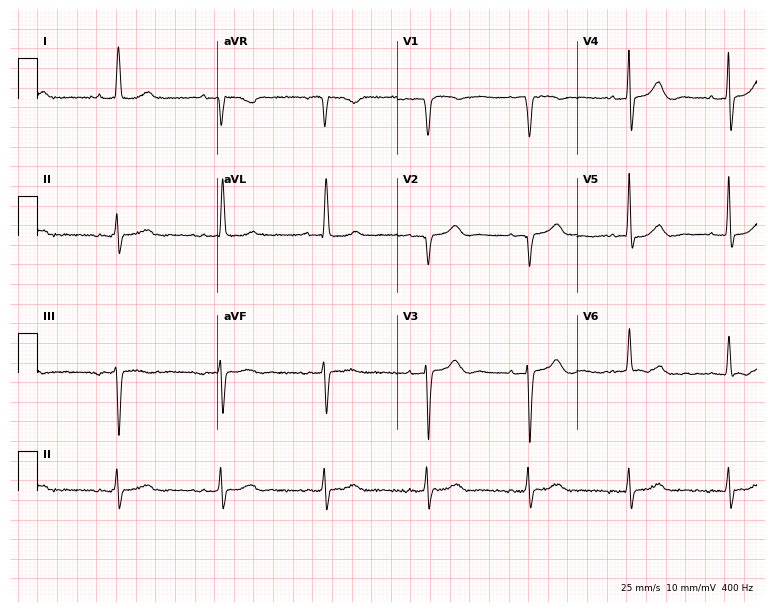
ECG (7.3-second recording at 400 Hz) — a female, 85 years old. Labelled as a normal ECG.